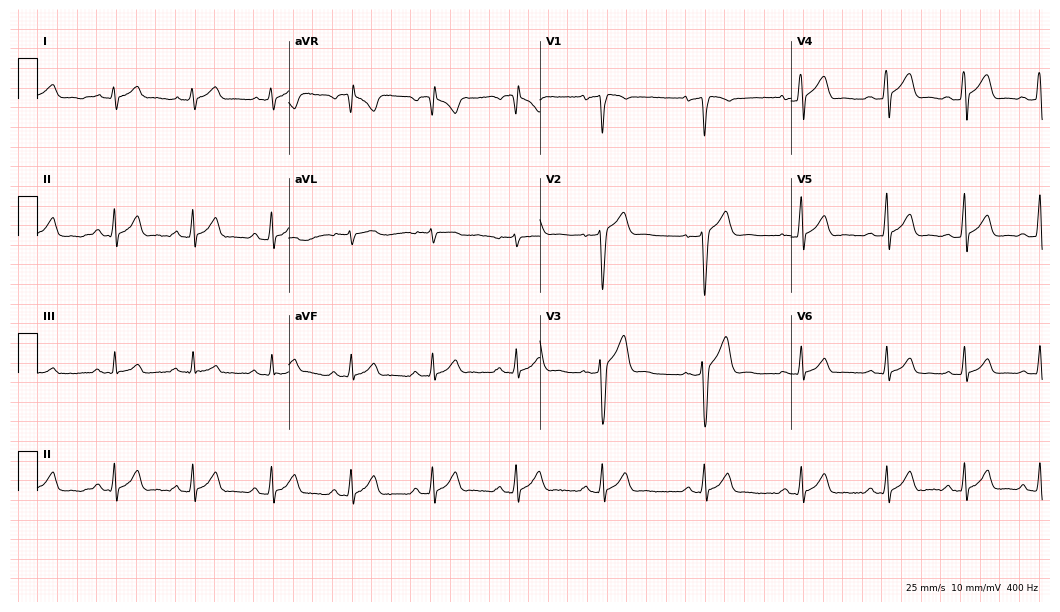
Resting 12-lead electrocardiogram (10.2-second recording at 400 Hz). Patient: a 31-year-old male. Read as a normal ECG.